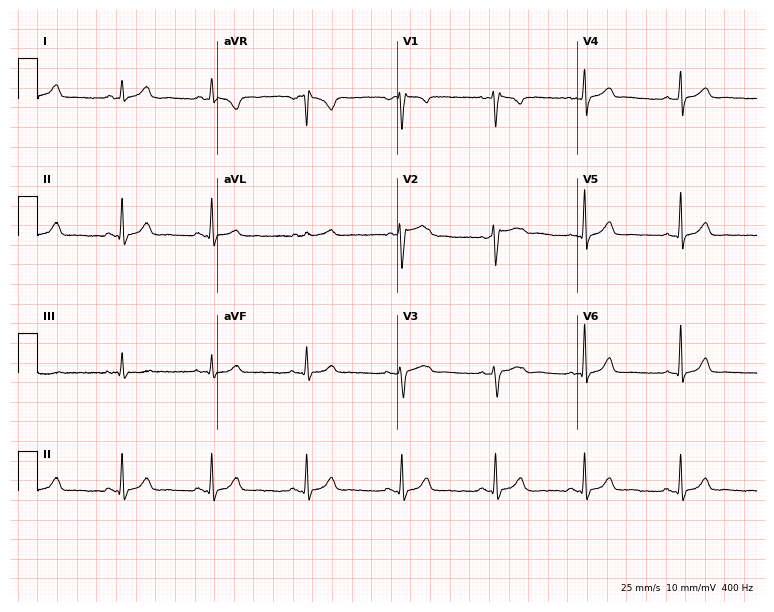
12-lead ECG (7.3-second recording at 400 Hz) from a female, 34 years old. Labelled as a normal ECG.